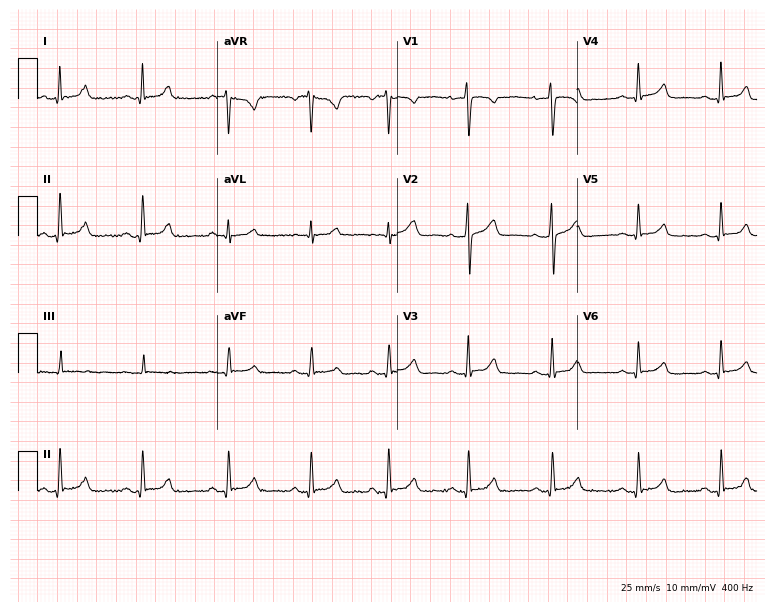
12-lead ECG from a 27-year-old female. Labelled as a normal ECG.